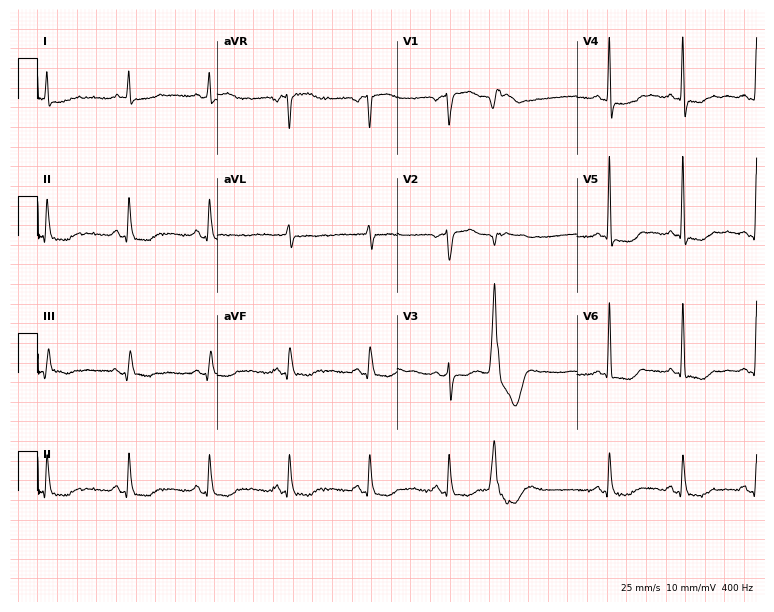
12-lead ECG from a woman, 62 years old. Recorded interpretation: within normal limits.